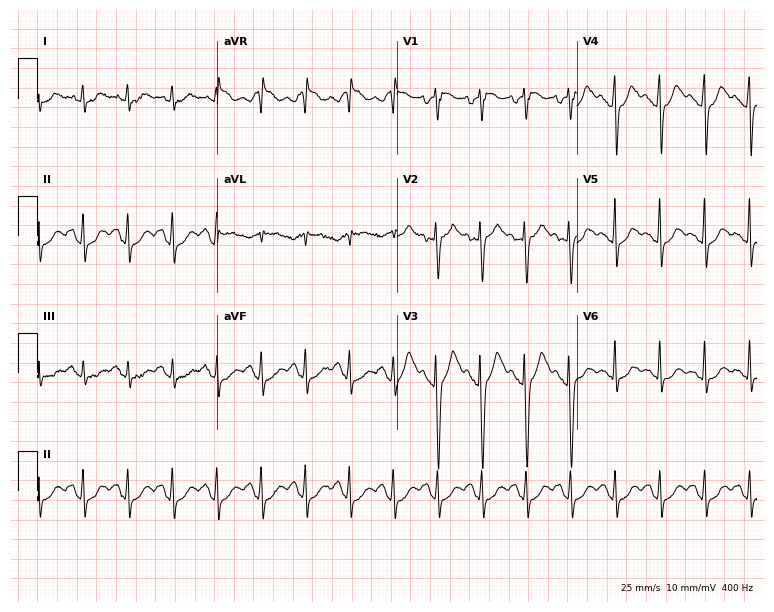
Resting 12-lead electrocardiogram (7.3-second recording at 400 Hz). Patient: a 56-year-old male. The tracing shows sinus tachycardia (a sinus rate of 100 beats per minute or more).